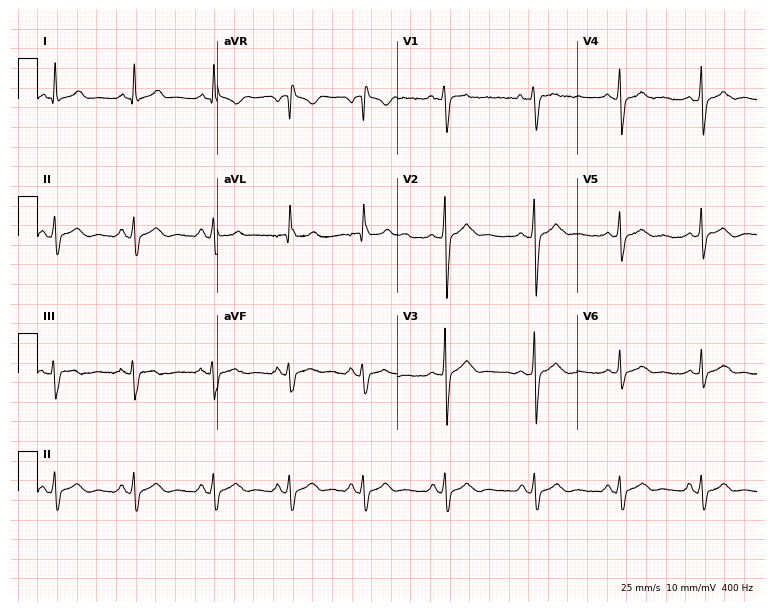
ECG (7.3-second recording at 400 Hz) — a male, 35 years old. Screened for six findings — first-degree AV block, right bundle branch block, left bundle branch block, sinus bradycardia, atrial fibrillation, sinus tachycardia — none is recorded.